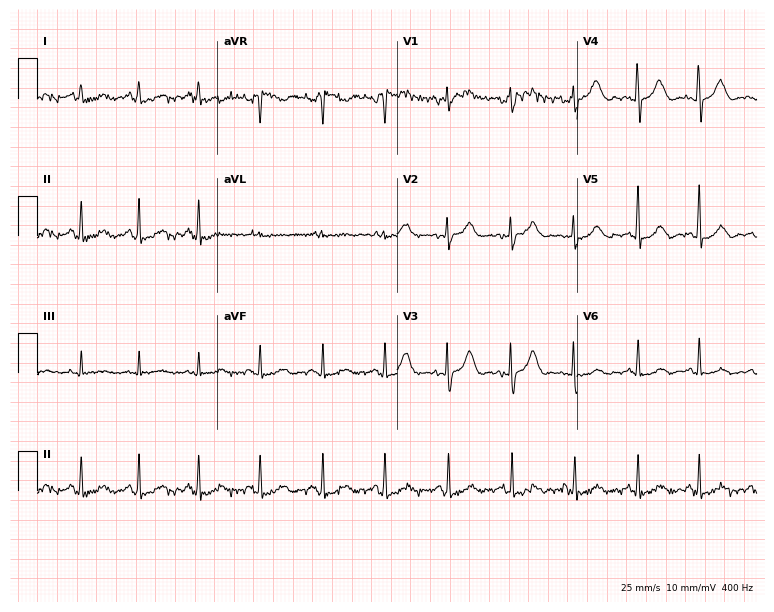
Electrocardiogram (7.3-second recording at 400 Hz), a female, 36 years old. Of the six screened findings (first-degree AV block, right bundle branch block, left bundle branch block, sinus bradycardia, atrial fibrillation, sinus tachycardia), none is recorded.